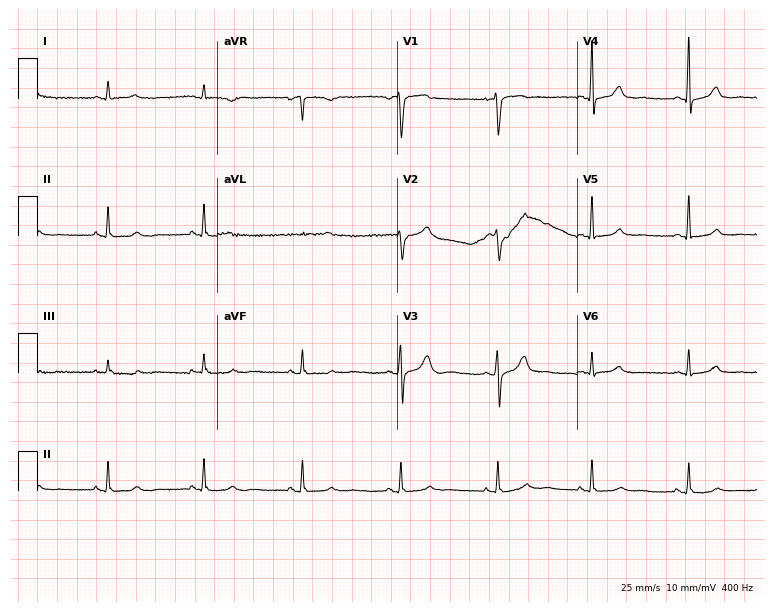
ECG (7.3-second recording at 400 Hz) — a female patient, 42 years old. Screened for six findings — first-degree AV block, right bundle branch block (RBBB), left bundle branch block (LBBB), sinus bradycardia, atrial fibrillation (AF), sinus tachycardia — none is recorded.